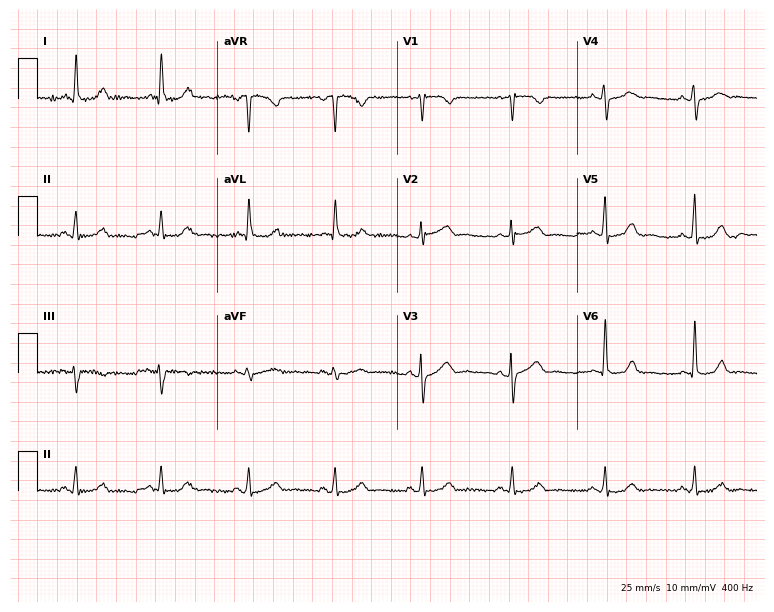
ECG (7.3-second recording at 400 Hz) — a female patient, 78 years old. Labelled as a normal ECG.